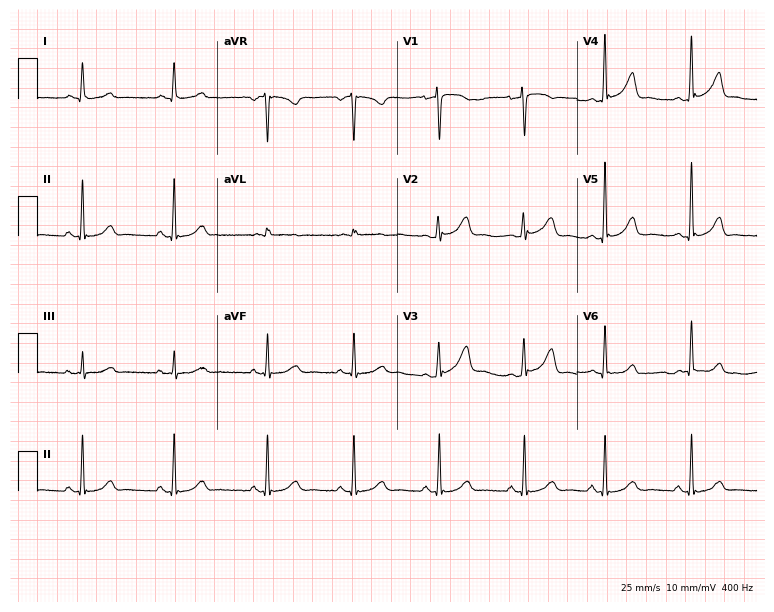
ECG — a woman, 24 years old. Labelled as a normal ECG.